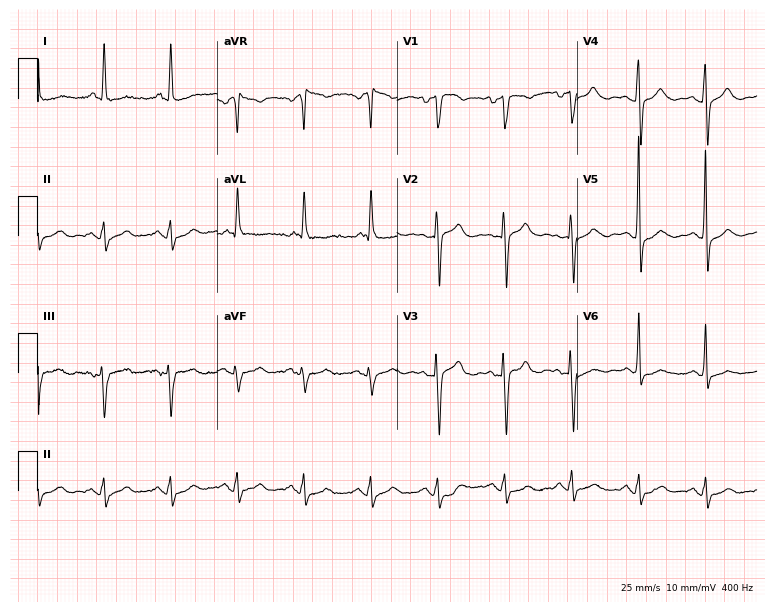
12-lead ECG from a female patient, 72 years old (7.3-second recording at 400 Hz). No first-degree AV block, right bundle branch block, left bundle branch block, sinus bradycardia, atrial fibrillation or sinus tachycardia recorded for this tracing.